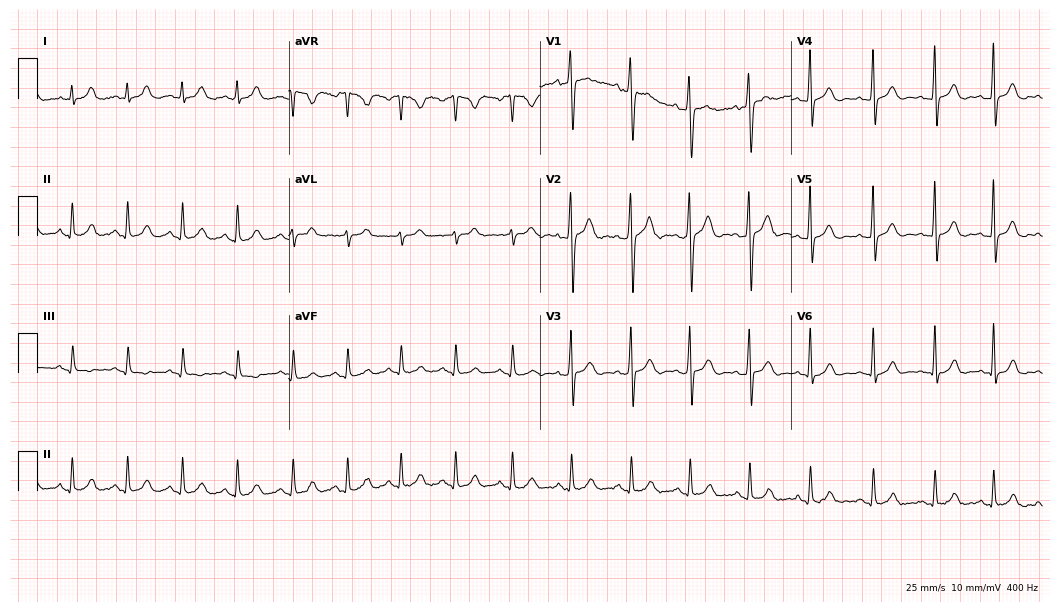
ECG (10.2-second recording at 400 Hz) — an 85-year-old male. Findings include sinus tachycardia (a sinus rate of 100 beats per minute or more).